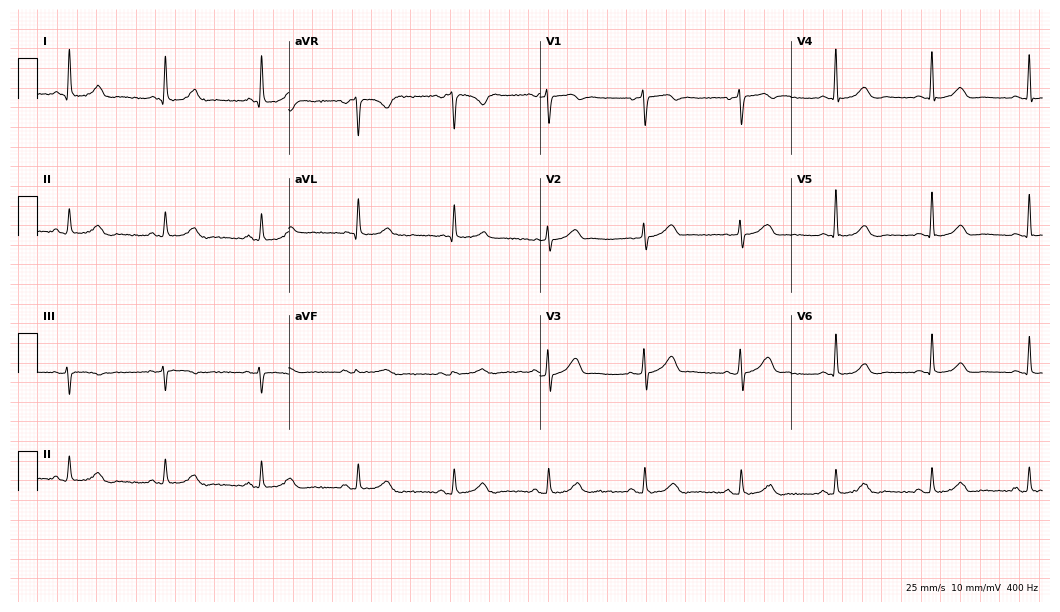
Standard 12-lead ECG recorded from a female, 64 years old (10.2-second recording at 400 Hz). Read as a normal ECG.